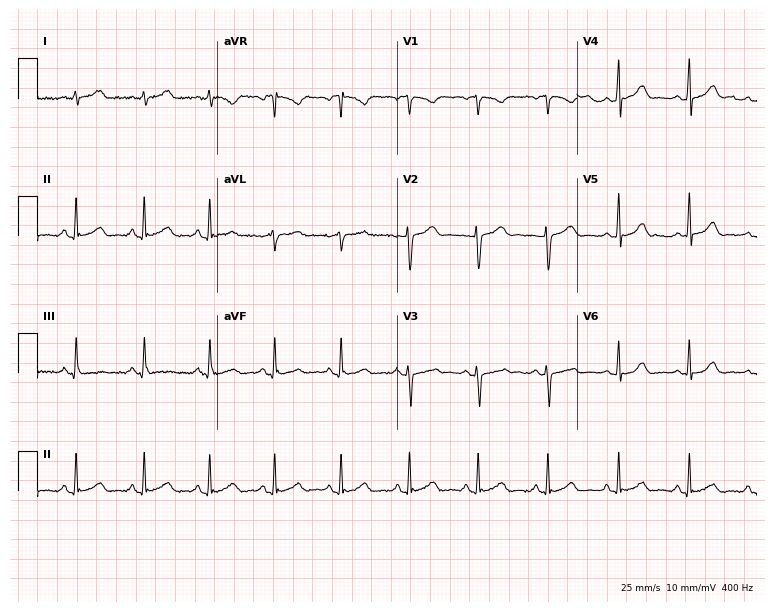
12-lead ECG from a female, 31 years old (7.3-second recording at 400 Hz). No first-degree AV block, right bundle branch block, left bundle branch block, sinus bradycardia, atrial fibrillation or sinus tachycardia recorded for this tracing.